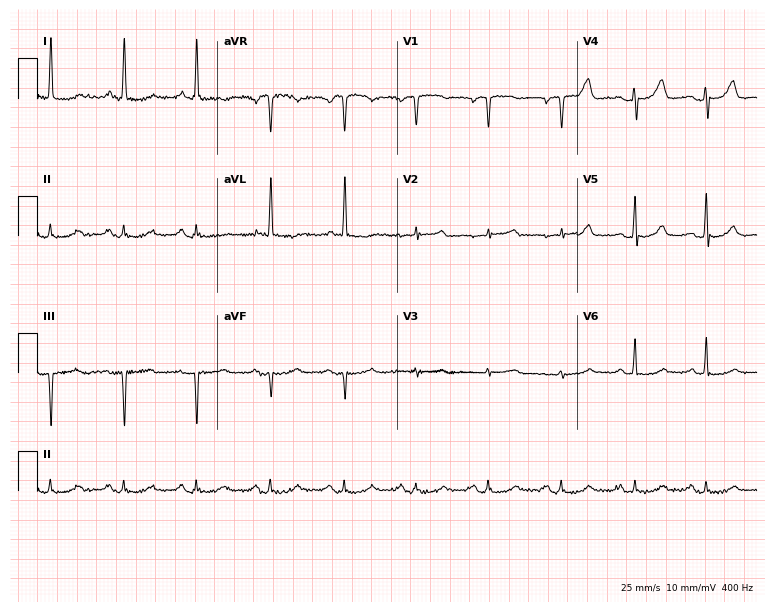
Standard 12-lead ECG recorded from a woman, 68 years old (7.3-second recording at 400 Hz). Read as a normal ECG.